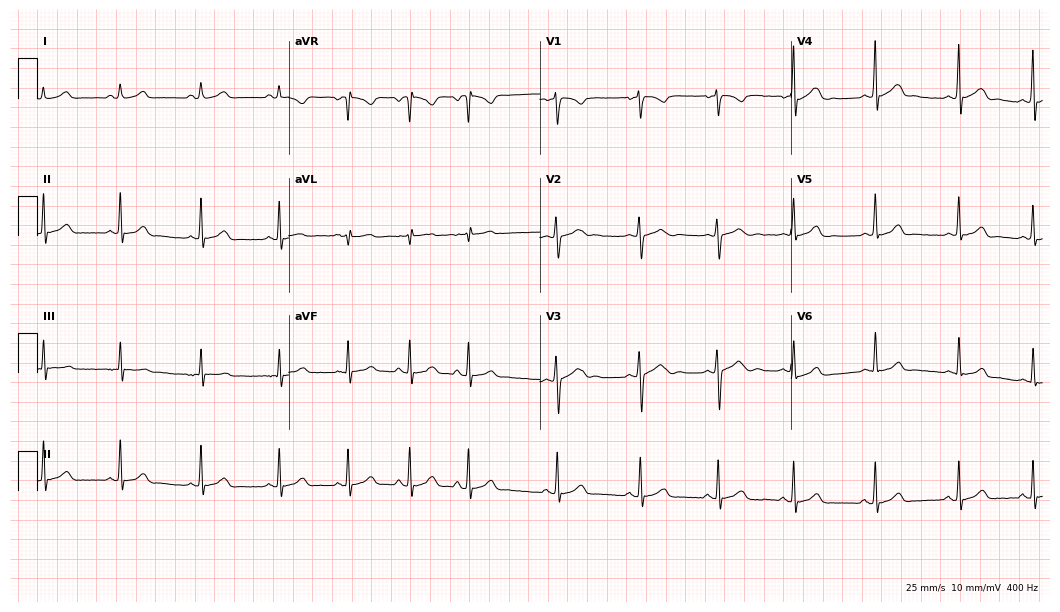
Standard 12-lead ECG recorded from a female patient, 19 years old. Read as a normal ECG.